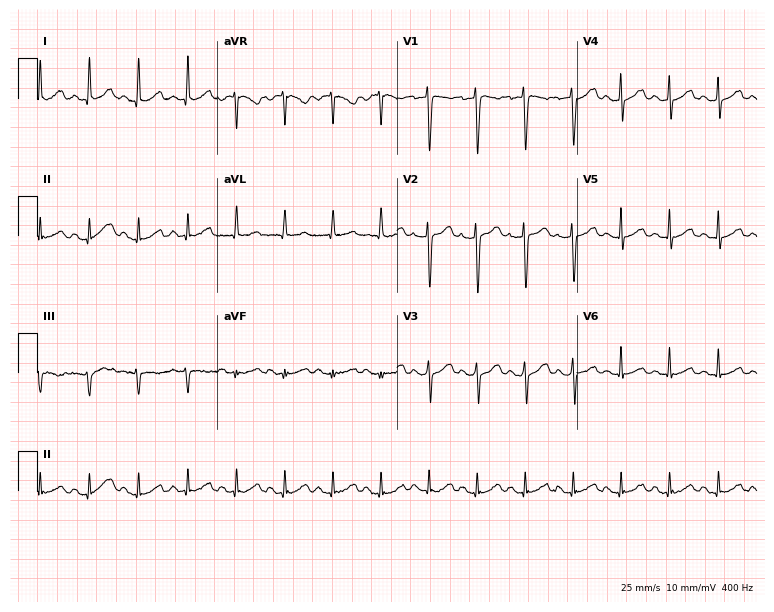
Resting 12-lead electrocardiogram. Patient: a woman, 37 years old. The tracing shows sinus tachycardia (a sinus rate of 100 beats per minute or more).